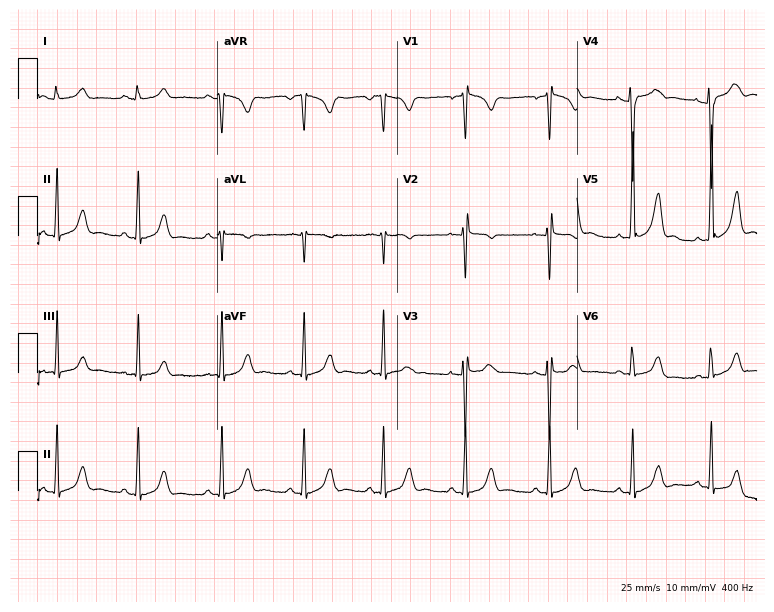
Electrocardiogram (7.3-second recording at 400 Hz), a female patient, 34 years old. Of the six screened findings (first-degree AV block, right bundle branch block (RBBB), left bundle branch block (LBBB), sinus bradycardia, atrial fibrillation (AF), sinus tachycardia), none is recorded.